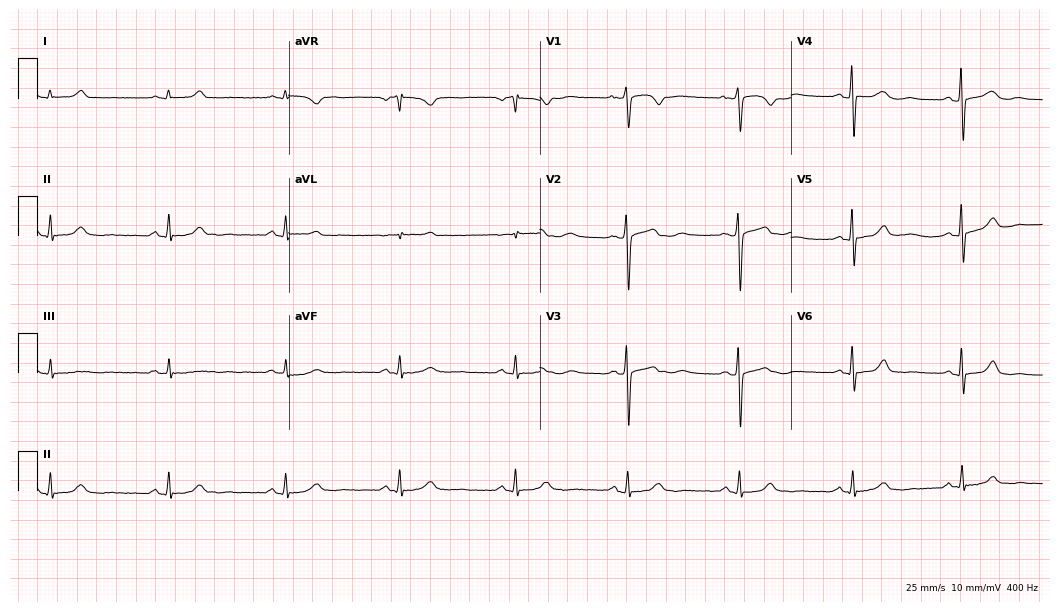
12-lead ECG from a female patient, 38 years old. Recorded interpretation: within normal limits.